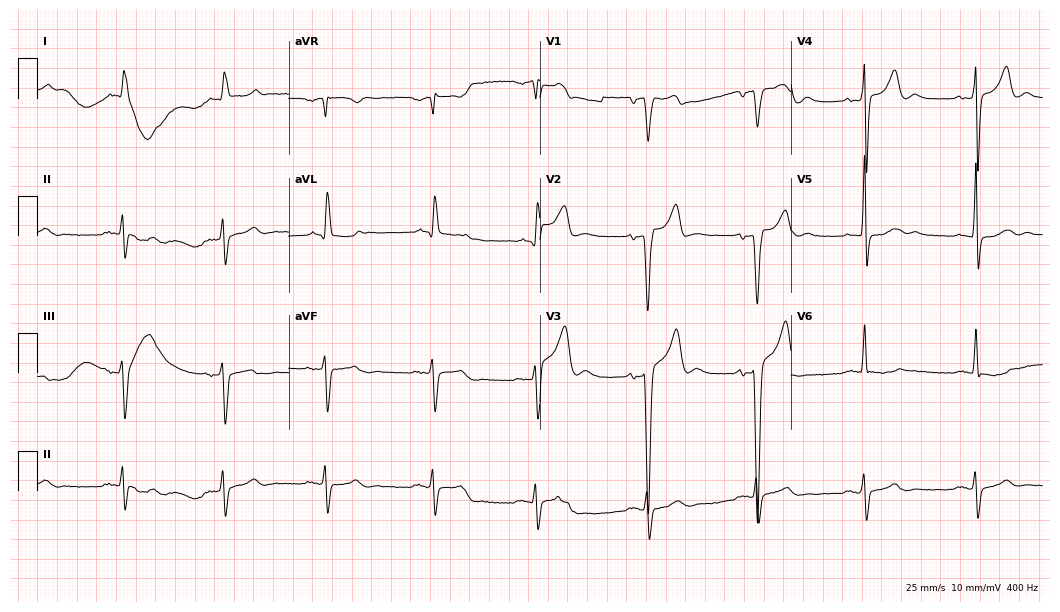
Electrocardiogram, a man, 43 years old. Of the six screened findings (first-degree AV block, right bundle branch block (RBBB), left bundle branch block (LBBB), sinus bradycardia, atrial fibrillation (AF), sinus tachycardia), none is recorded.